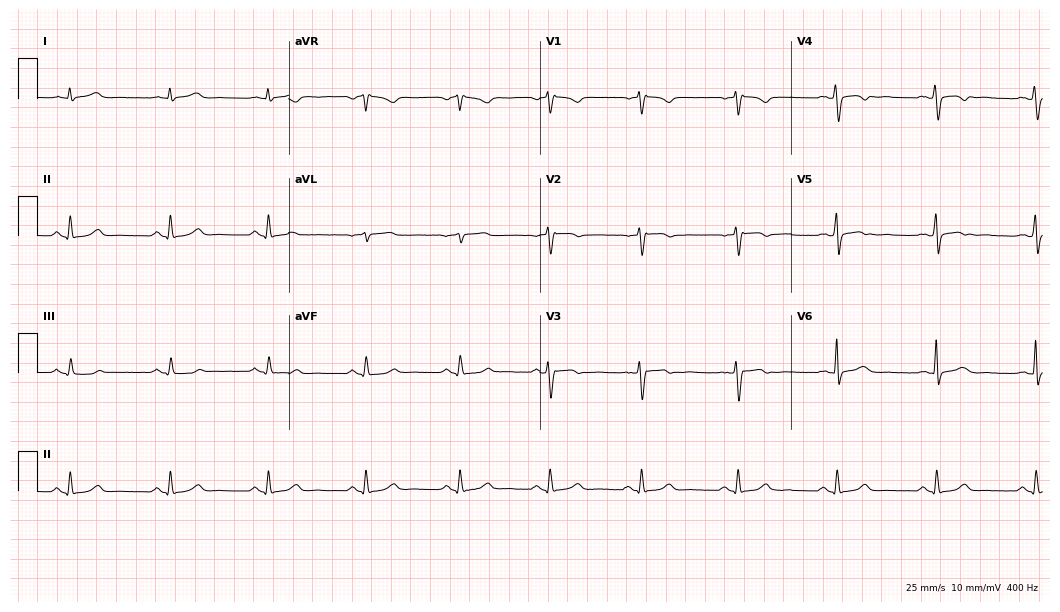
12-lead ECG (10.2-second recording at 400 Hz) from a 46-year-old female. Labelled as a normal ECG.